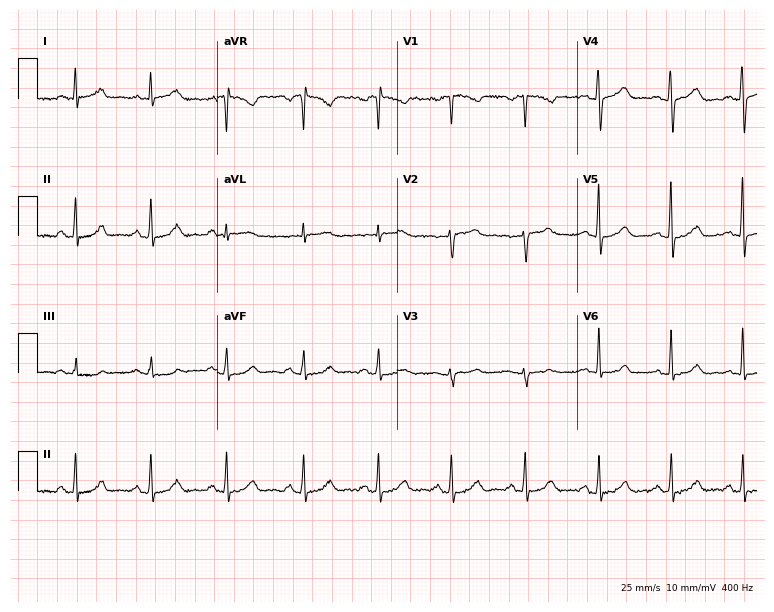
12-lead ECG from a female patient, 75 years old. Labelled as a normal ECG.